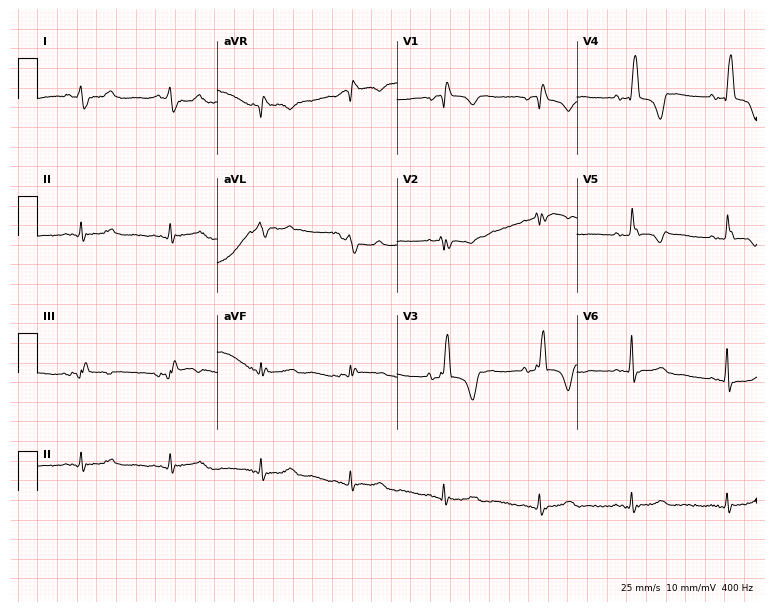
Resting 12-lead electrocardiogram. Patient: a woman, 68 years old. The tracing shows right bundle branch block.